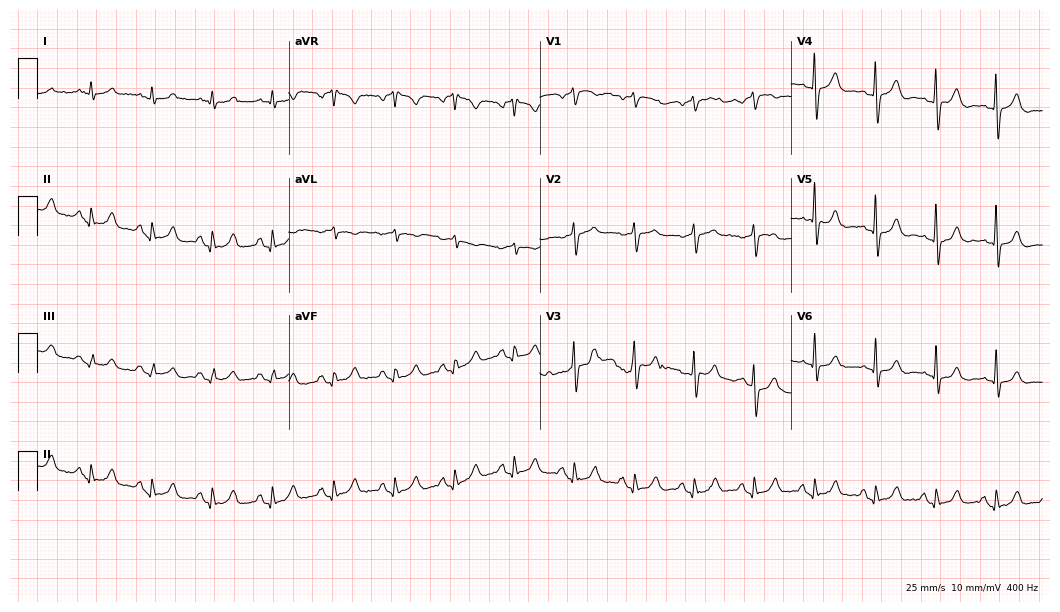
ECG — a male, 73 years old. Labelled as a normal ECG.